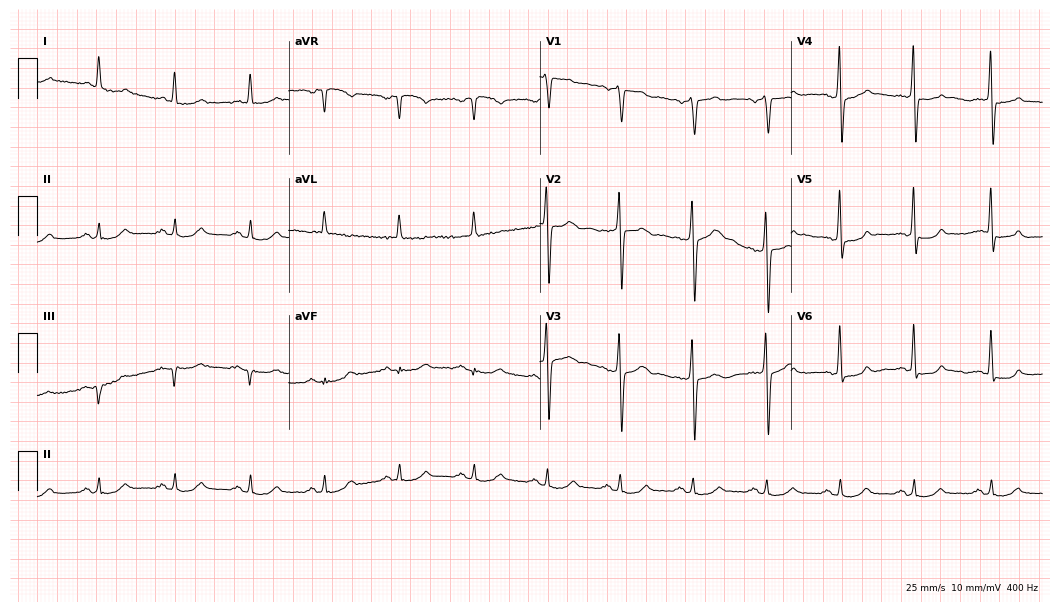
ECG — a male patient, 56 years old. Screened for six findings — first-degree AV block, right bundle branch block, left bundle branch block, sinus bradycardia, atrial fibrillation, sinus tachycardia — none is recorded. Findings outside these six are not listed.